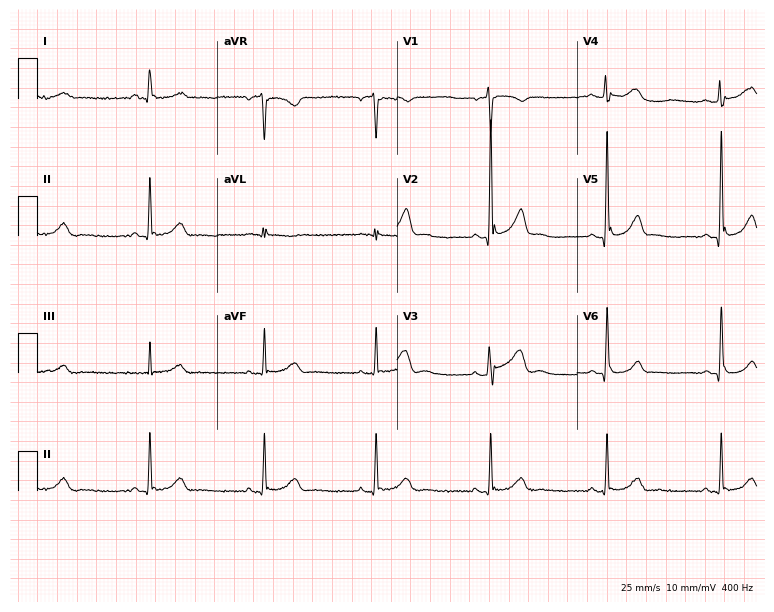
ECG (7.3-second recording at 400 Hz) — a man, 51 years old. Labelled as a normal ECG.